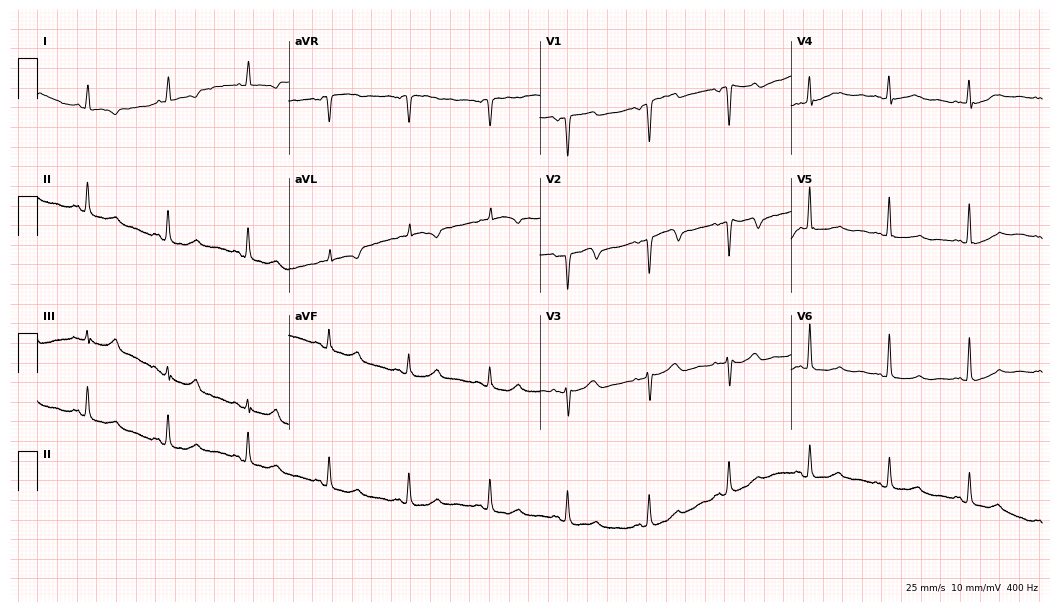
Electrocardiogram, an 81-year-old male. Of the six screened findings (first-degree AV block, right bundle branch block, left bundle branch block, sinus bradycardia, atrial fibrillation, sinus tachycardia), none is recorded. Only these six findings were labelled.